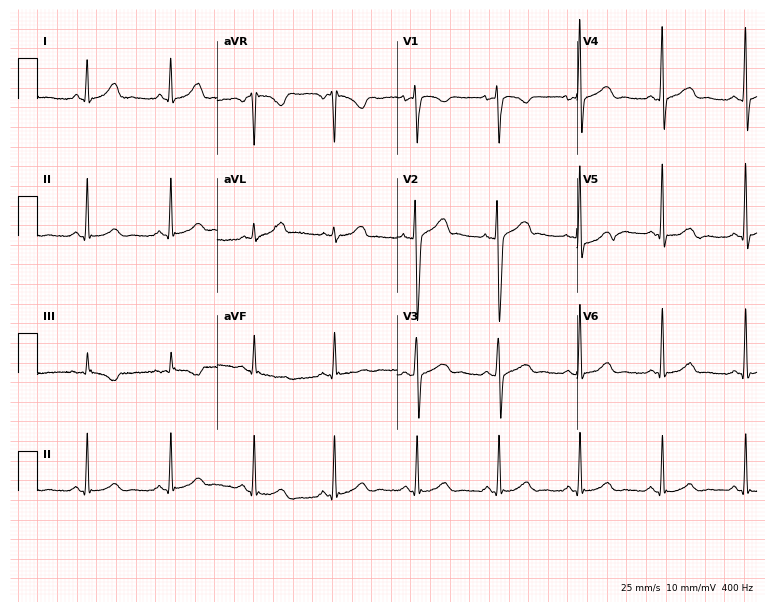
12-lead ECG from a woman, 48 years old (7.3-second recording at 400 Hz). Recorded interpretation: within normal limits.